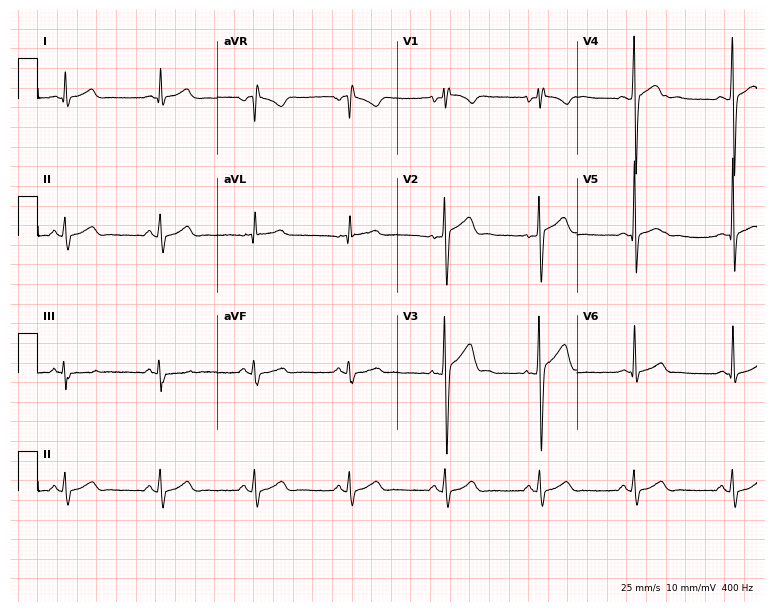
12-lead ECG from a 26-year-old male patient (7.3-second recording at 400 Hz). Recorded interpretation: within normal limits.